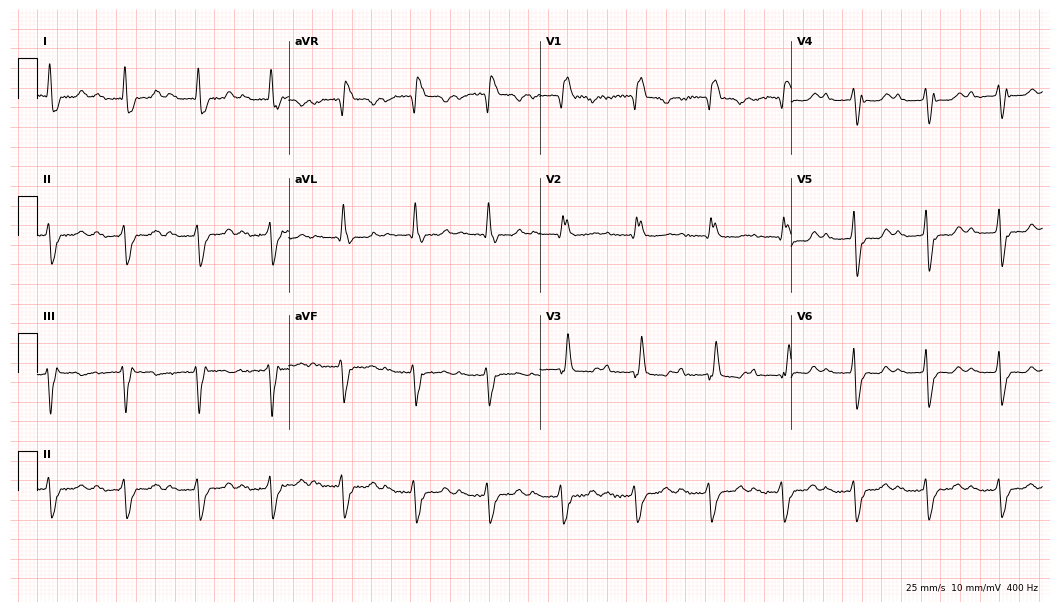
ECG (10.2-second recording at 400 Hz) — a 64-year-old woman. Findings include first-degree AV block, right bundle branch block.